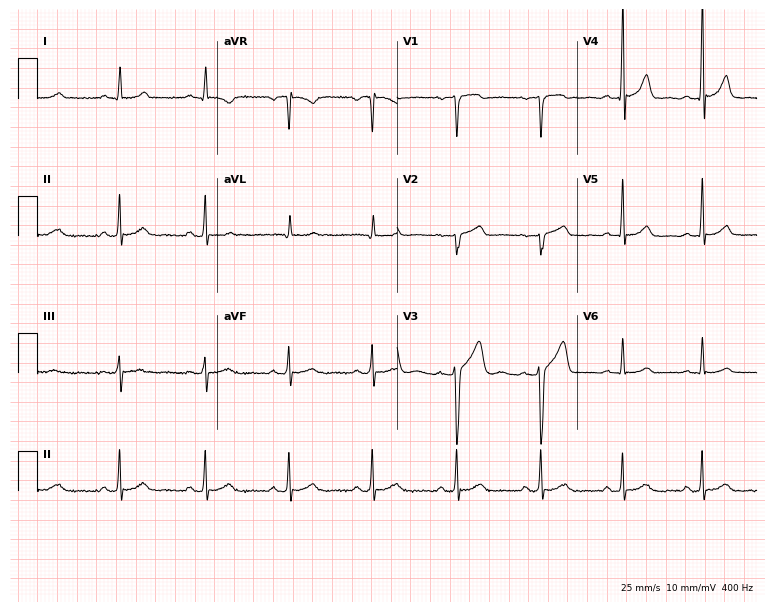
ECG — a 50-year-old woman. Labelled as a normal ECG.